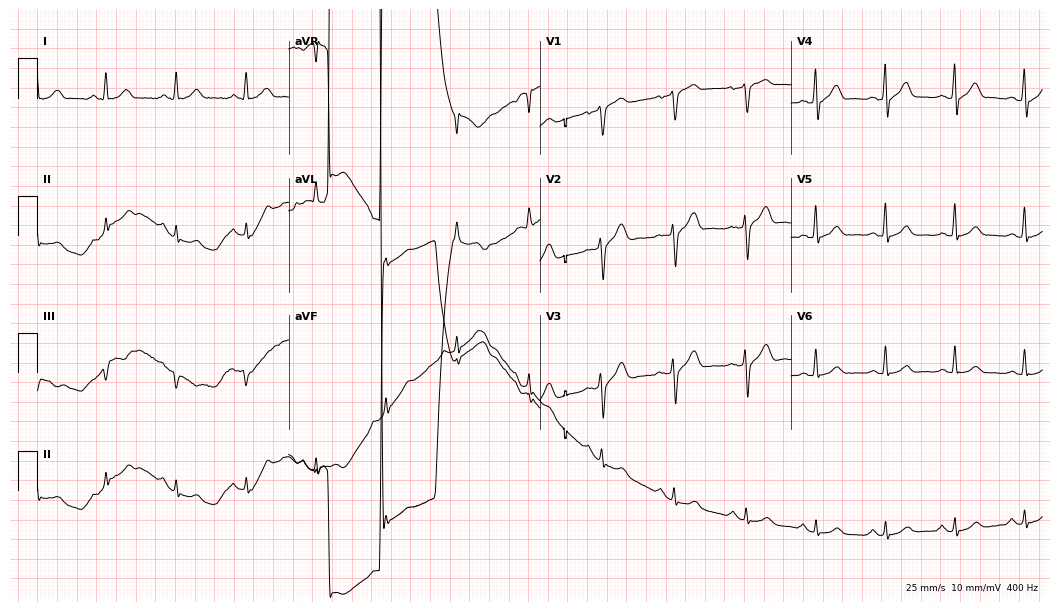
Electrocardiogram, a male patient, 55 years old. Of the six screened findings (first-degree AV block, right bundle branch block (RBBB), left bundle branch block (LBBB), sinus bradycardia, atrial fibrillation (AF), sinus tachycardia), none is recorded.